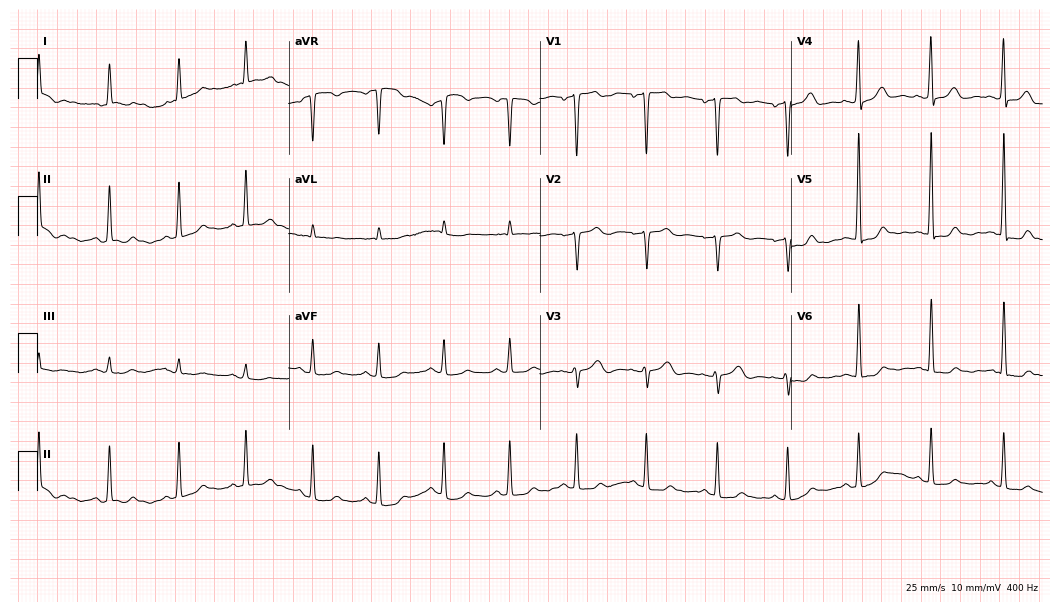
Standard 12-lead ECG recorded from a 46-year-old male patient (10.2-second recording at 400 Hz). None of these six findings is recorded: first-degree AV block, right bundle branch block (RBBB), left bundle branch block (LBBB), sinus bradycardia, atrial fibrillation (AF), sinus tachycardia.